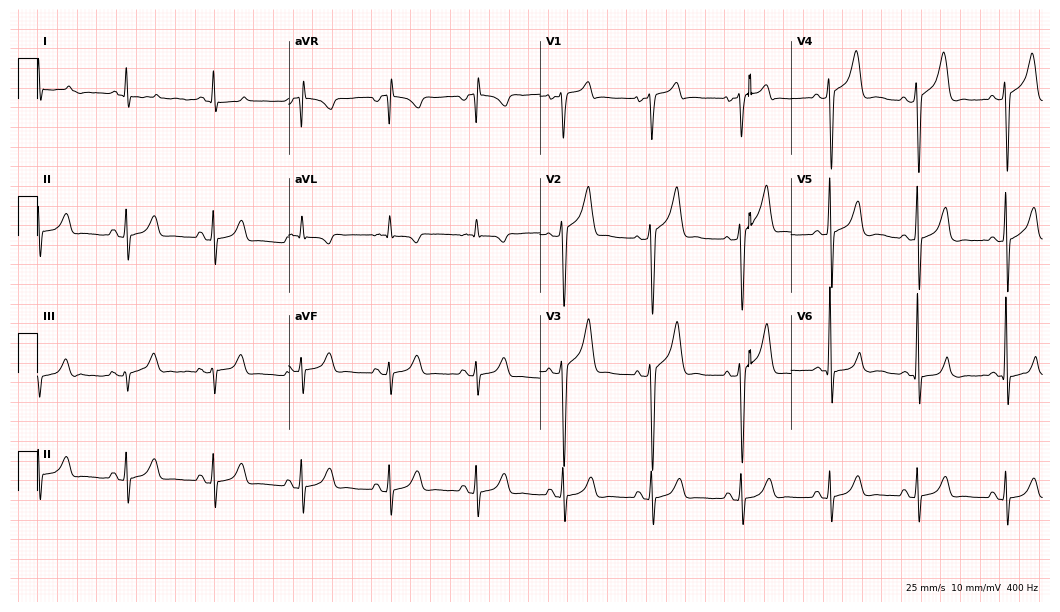
Electrocardiogram, a male patient, 56 years old. Overall reading on record: normal ECG.